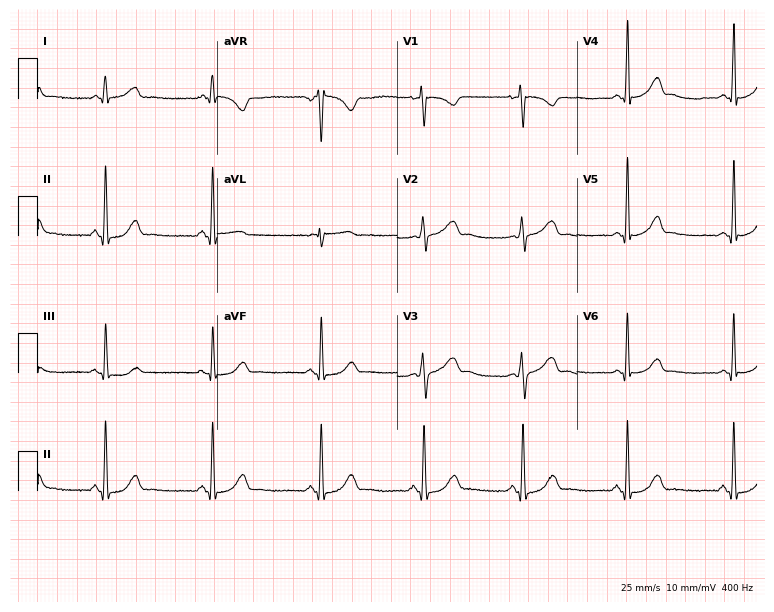
Standard 12-lead ECG recorded from a 27-year-old female (7.3-second recording at 400 Hz). Read as a normal ECG.